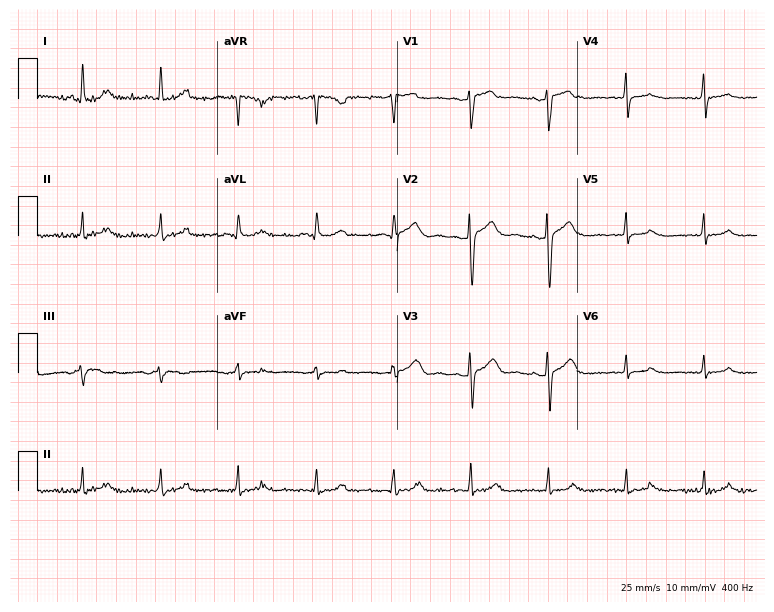
12-lead ECG from a 56-year-old woman. Recorded interpretation: within normal limits.